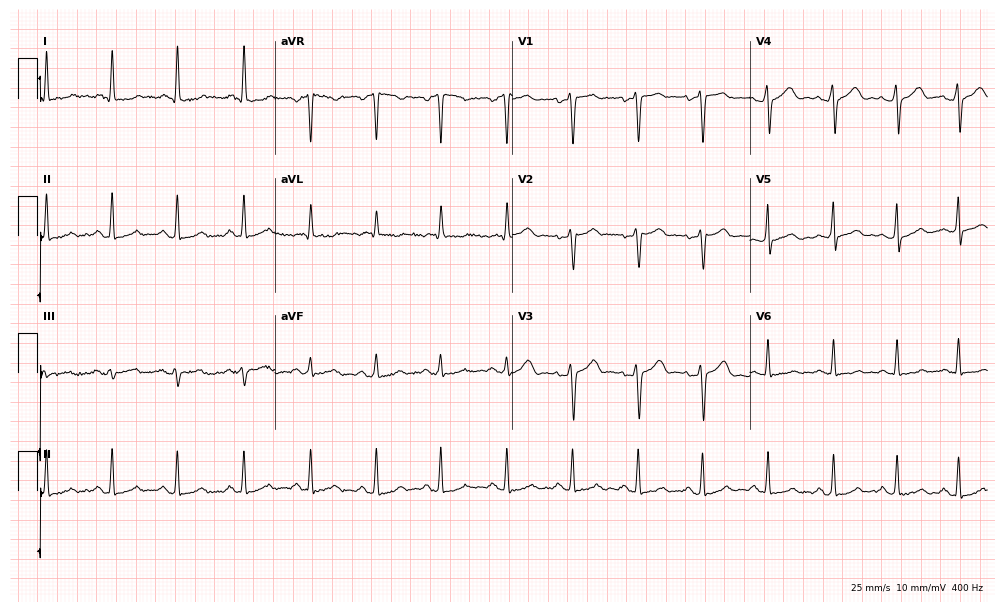
12-lead ECG (9.7-second recording at 400 Hz) from a 33-year-old male patient. Screened for six findings — first-degree AV block, right bundle branch block, left bundle branch block, sinus bradycardia, atrial fibrillation, sinus tachycardia — none is recorded. Findings outside these six are not listed.